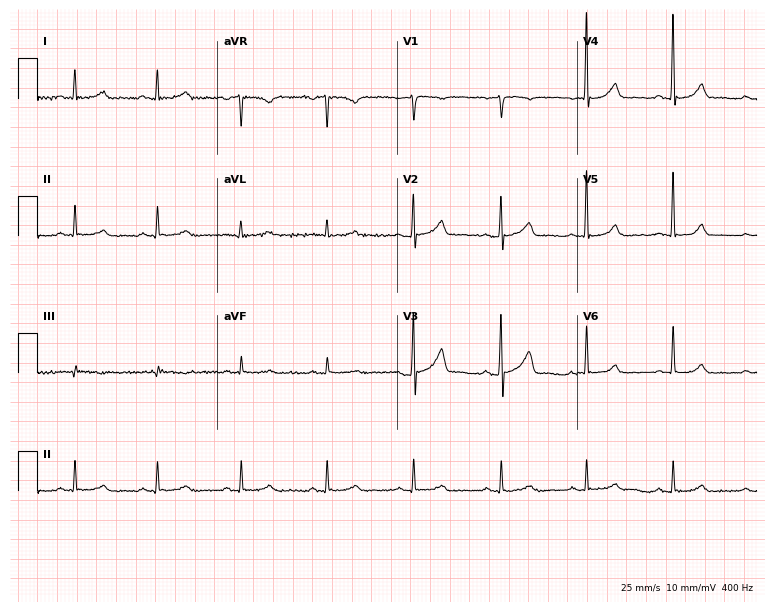
12-lead ECG from a male, 67 years old. Screened for six findings — first-degree AV block, right bundle branch block, left bundle branch block, sinus bradycardia, atrial fibrillation, sinus tachycardia — none is recorded. Findings outside these six are not listed.